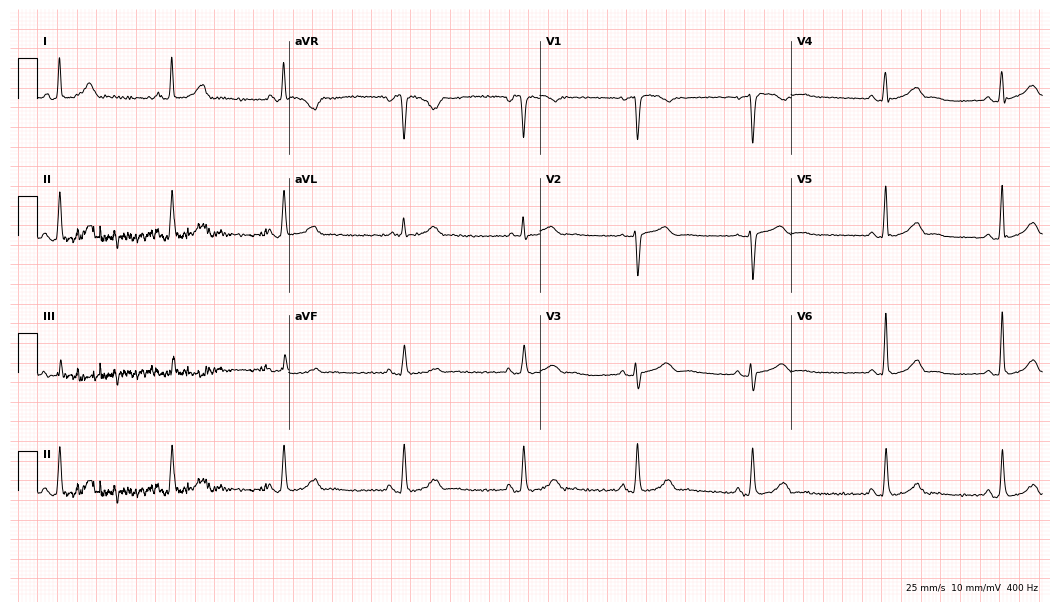
Resting 12-lead electrocardiogram (10.2-second recording at 400 Hz). Patient: a woman, 58 years old. Read as a normal ECG.